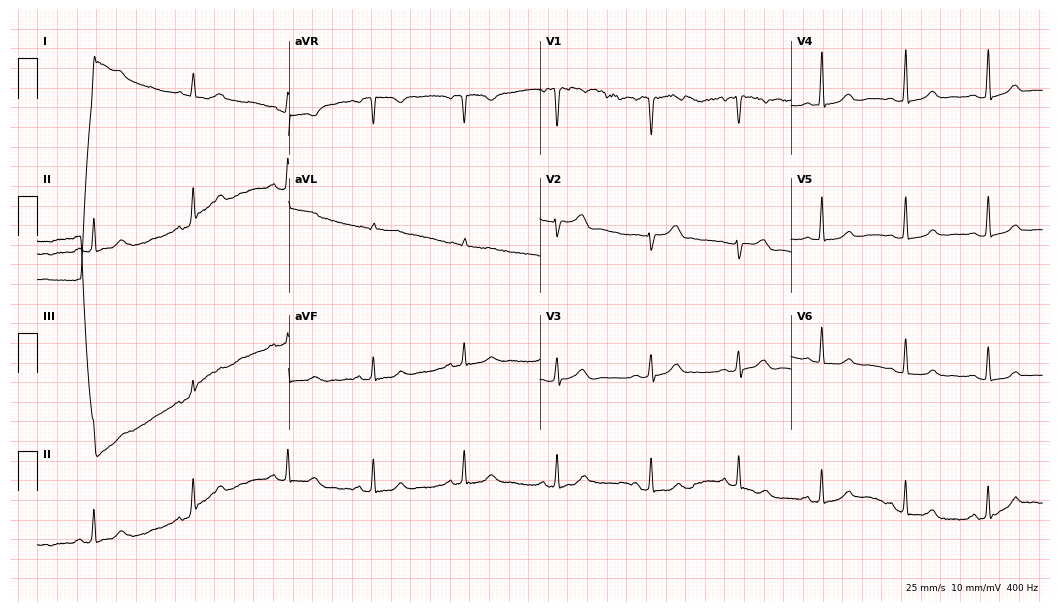
12-lead ECG from a 45-year-old female (10.2-second recording at 400 Hz). No first-degree AV block, right bundle branch block, left bundle branch block, sinus bradycardia, atrial fibrillation or sinus tachycardia recorded for this tracing. Only these six findings were labelled.